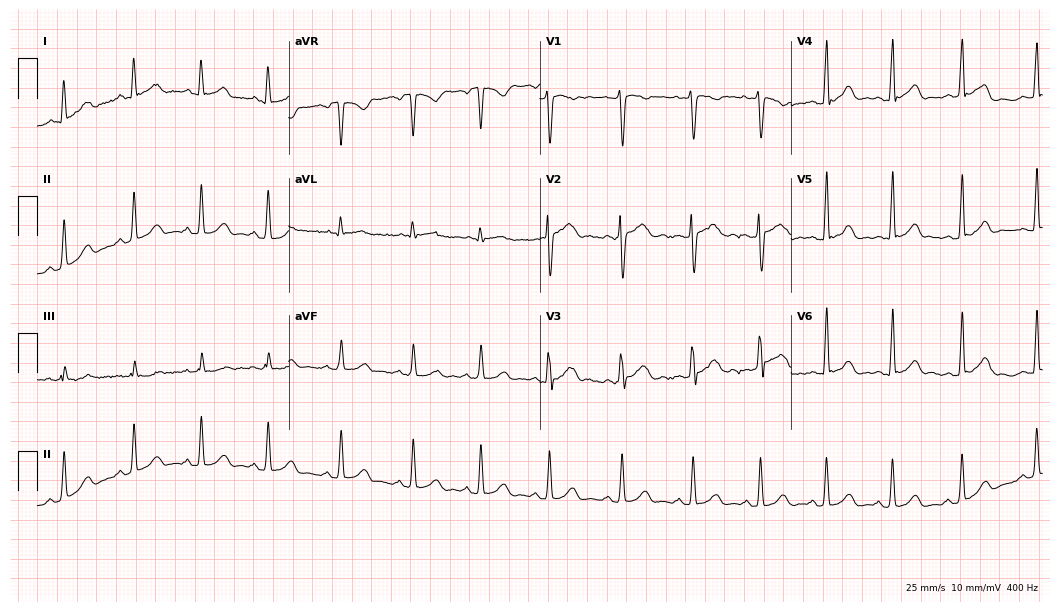
ECG — a 22-year-old female. Labelled as a normal ECG.